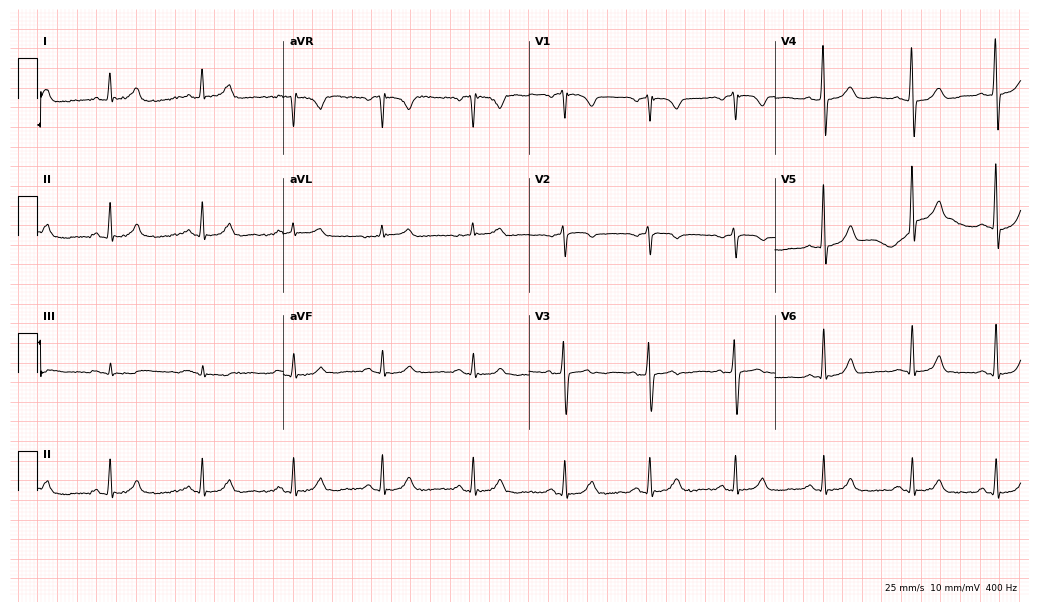
ECG — a 69-year-old female. Labelled as a normal ECG.